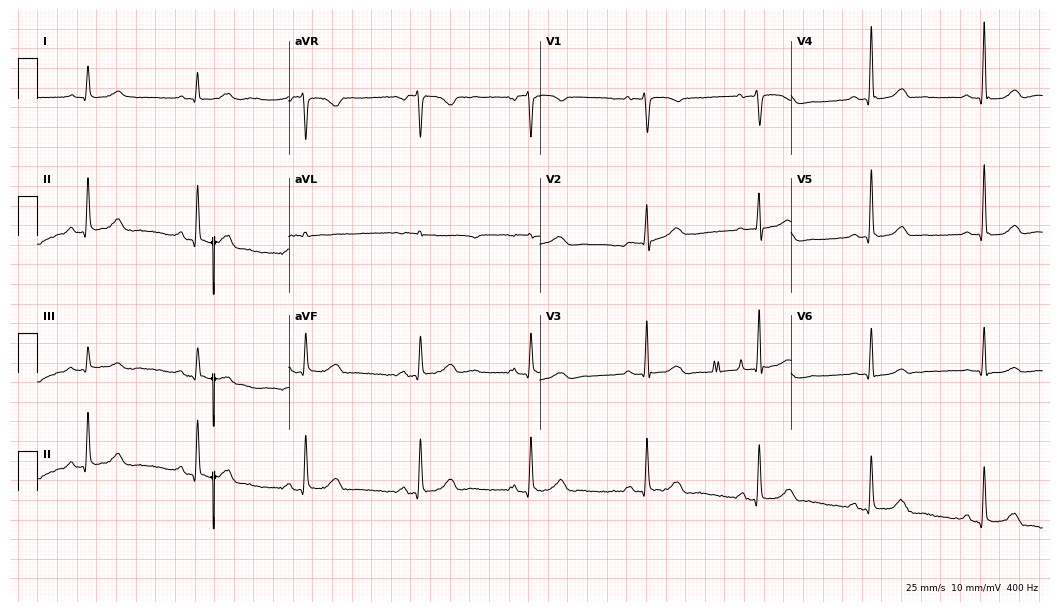
ECG (10.2-second recording at 400 Hz) — a female patient, 60 years old. Screened for six findings — first-degree AV block, right bundle branch block (RBBB), left bundle branch block (LBBB), sinus bradycardia, atrial fibrillation (AF), sinus tachycardia — none is recorded. Only these six findings were labelled.